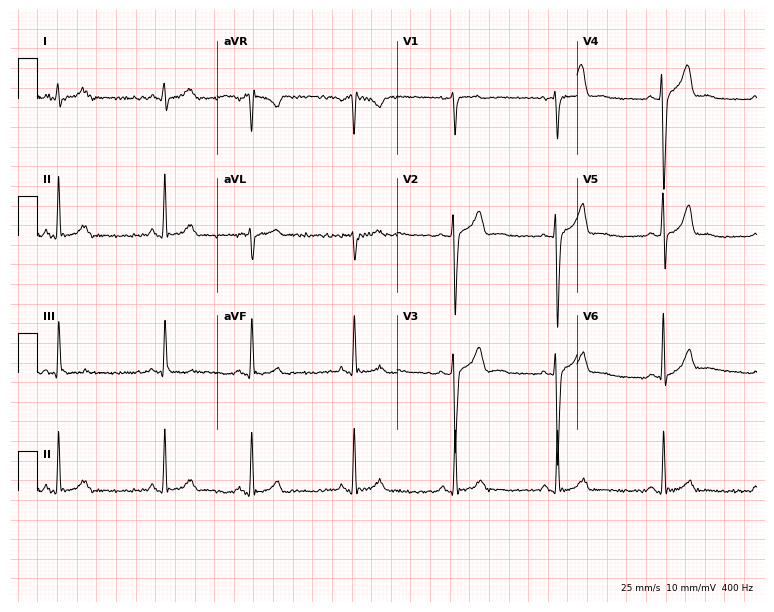
Resting 12-lead electrocardiogram (7.3-second recording at 400 Hz). Patient: a man, 22 years old. Read as a normal ECG.